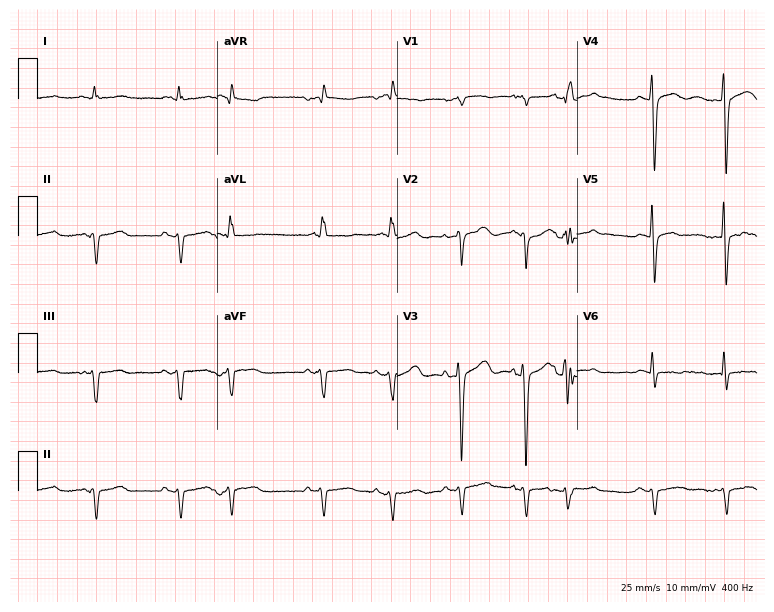
Resting 12-lead electrocardiogram (7.3-second recording at 400 Hz). Patient: an 85-year-old male. None of these six findings is recorded: first-degree AV block, right bundle branch block, left bundle branch block, sinus bradycardia, atrial fibrillation, sinus tachycardia. Only these six findings were labelled.